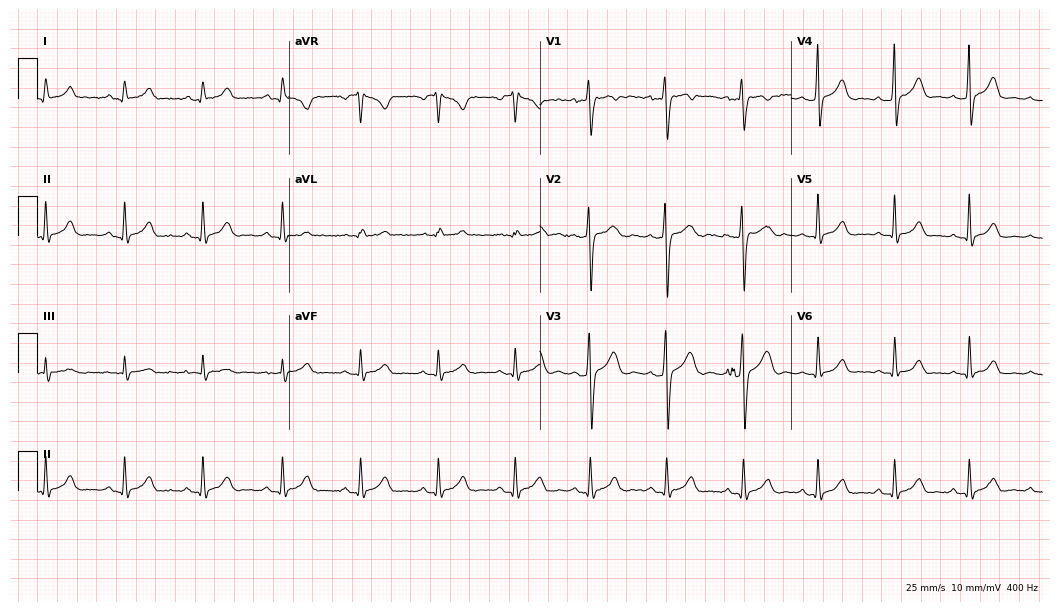
Resting 12-lead electrocardiogram (10.2-second recording at 400 Hz). Patient: a woman, 20 years old. None of these six findings is recorded: first-degree AV block, right bundle branch block, left bundle branch block, sinus bradycardia, atrial fibrillation, sinus tachycardia. Only these six findings were labelled.